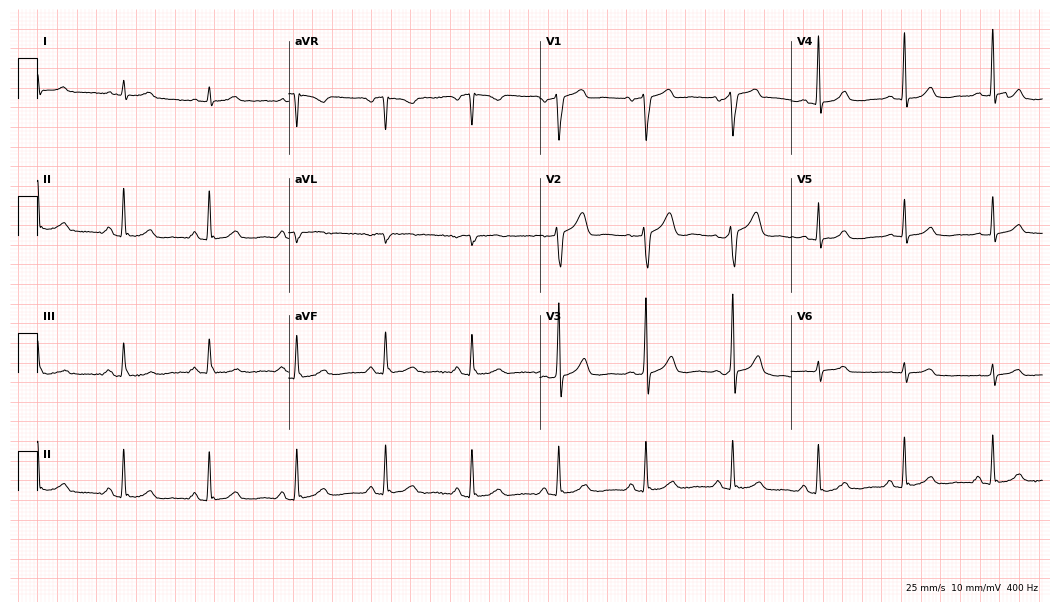
ECG — a 59-year-old man. Labelled as a normal ECG.